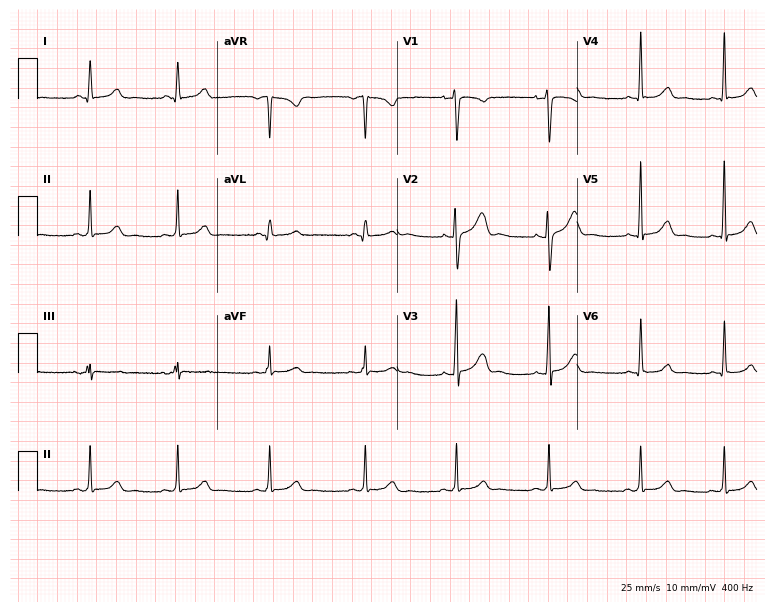
Resting 12-lead electrocardiogram. Patient: a 19-year-old female. None of these six findings is recorded: first-degree AV block, right bundle branch block, left bundle branch block, sinus bradycardia, atrial fibrillation, sinus tachycardia.